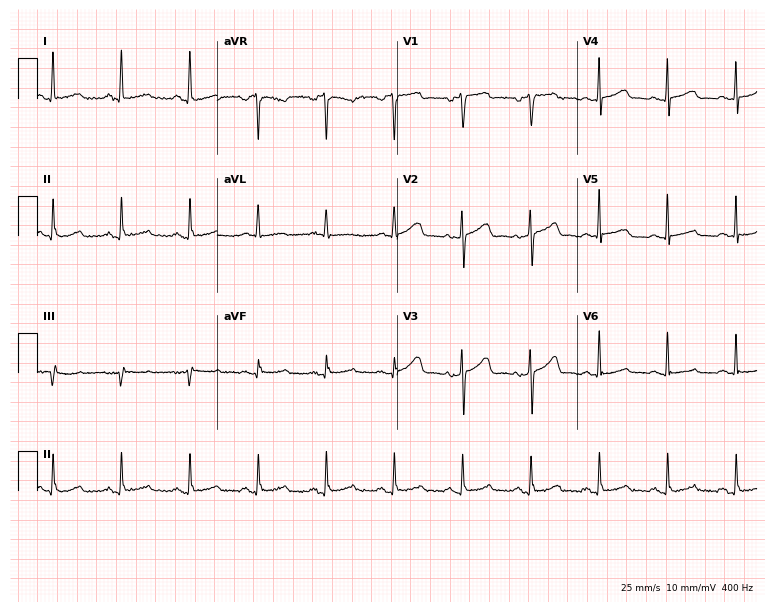
Electrocardiogram, a 69-year-old woman. Overall reading on record: normal ECG.